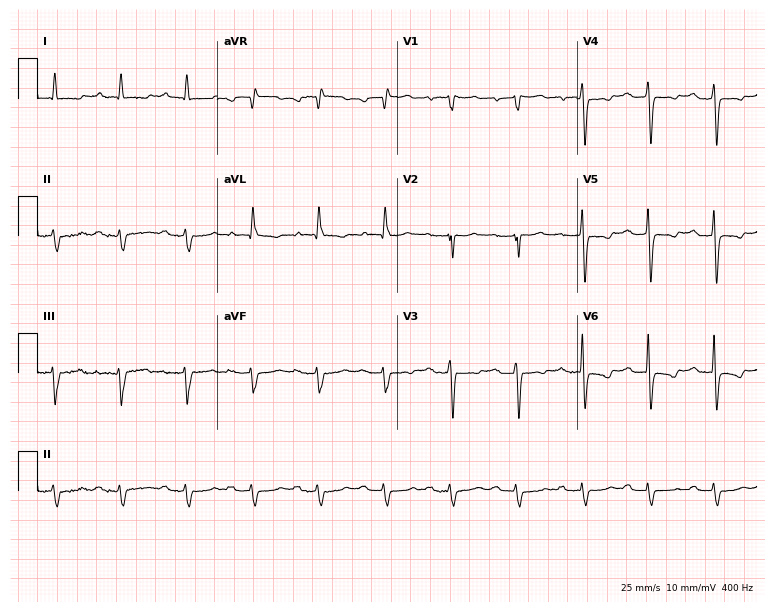
Standard 12-lead ECG recorded from a man, 83 years old (7.3-second recording at 400 Hz). None of these six findings is recorded: first-degree AV block, right bundle branch block, left bundle branch block, sinus bradycardia, atrial fibrillation, sinus tachycardia.